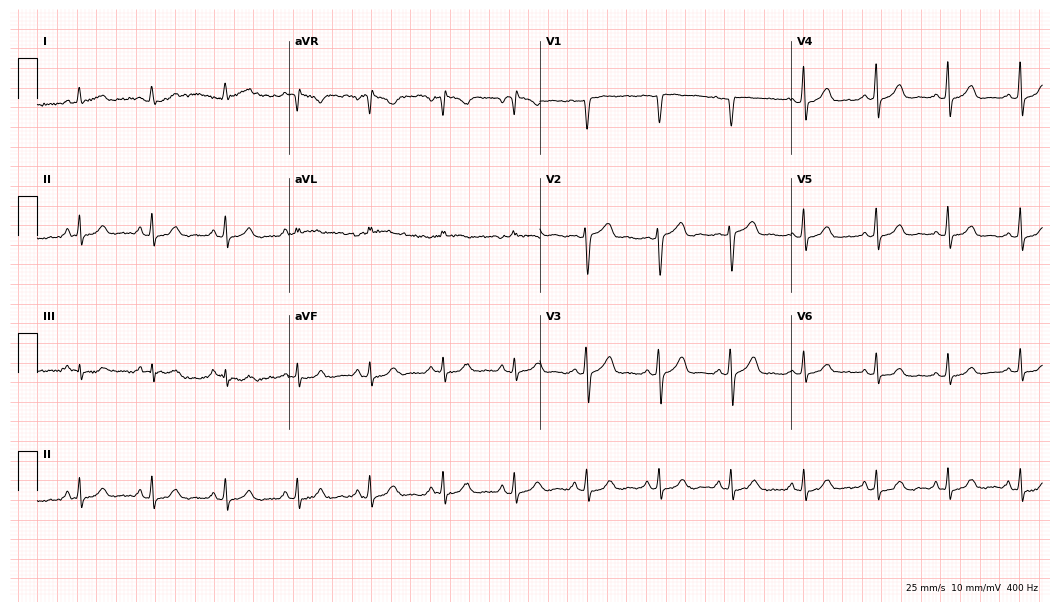
12-lead ECG from a 40-year-old female (10.2-second recording at 400 Hz). Recorded interpretation: within normal limits.